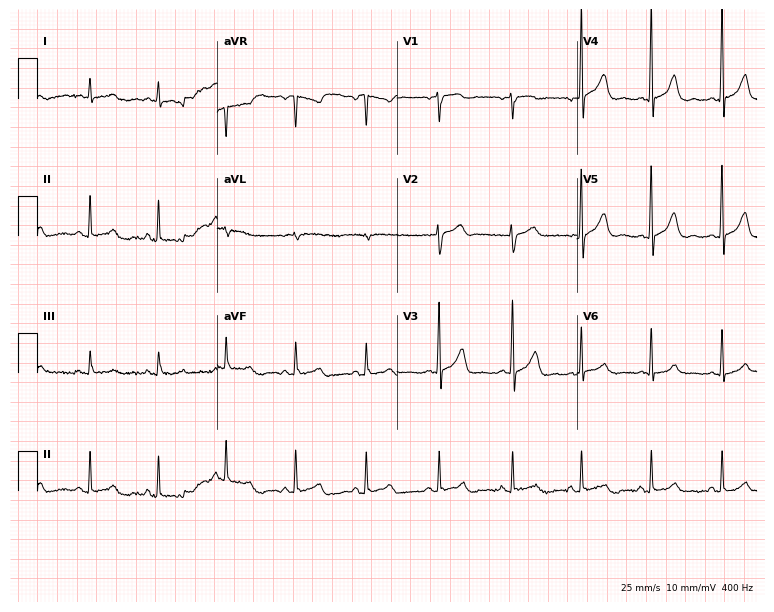
Electrocardiogram, a 52-year-old male. Of the six screened findings (first-degree AV block, right bundle branch block (RBBB), left bundle branch block (LBBB), sinus bradycardia, atrial fibrillation (AF), sinus tachycardia), none is recorded. Other findings, if any, are not listed.